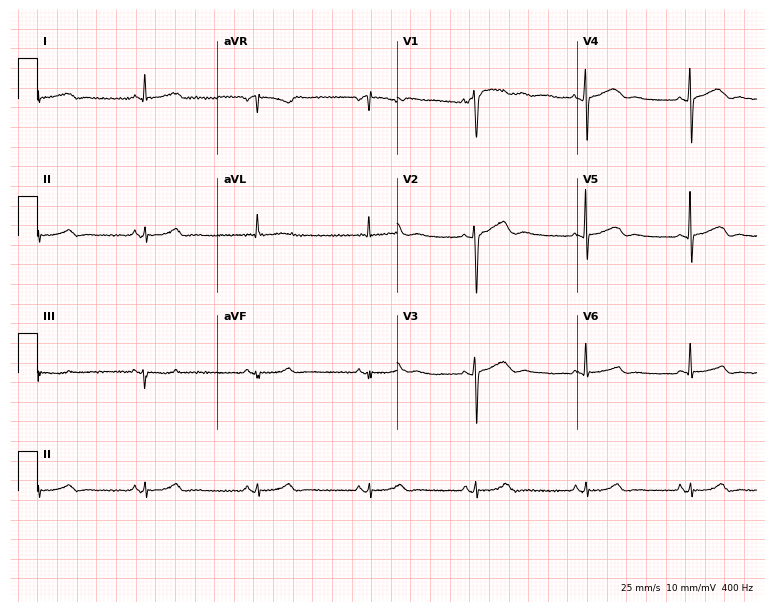
Electrocardiogram (7.3-second recording at 400 Hz), a 42-year-old woman. Of the six screened findings (first-degree AV block, right bundle branch block, left bundle branch block, sinus bradycardia, atrial fibrillation, sinus tachycardia), none is recorded. Other findings, if any, are not listed.